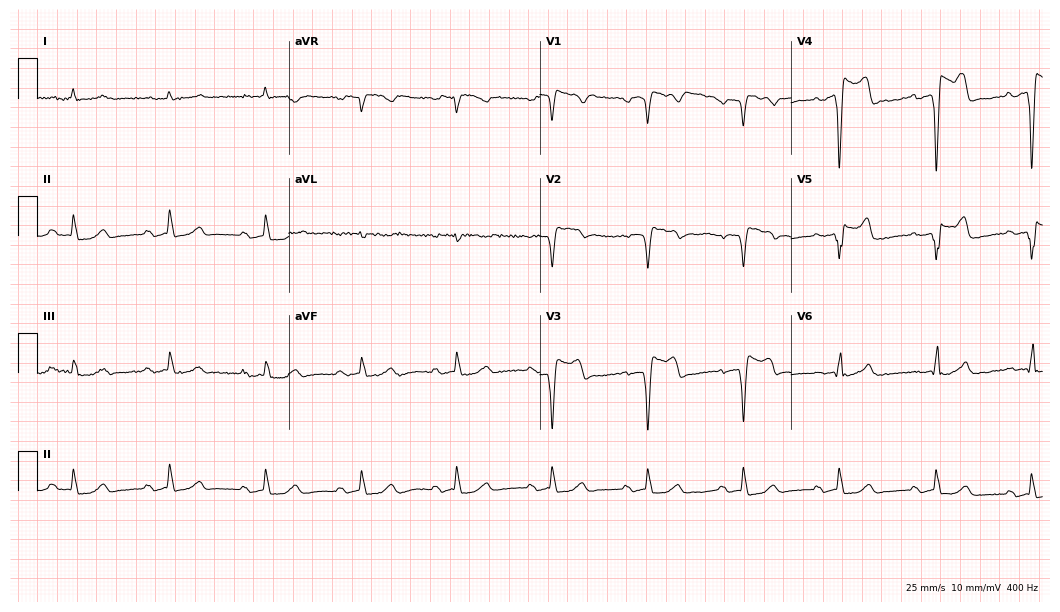
12-lead ECG from a 64-year-old male patient (10.2-second recording at 400 Hz). Shows first-degree AV block.